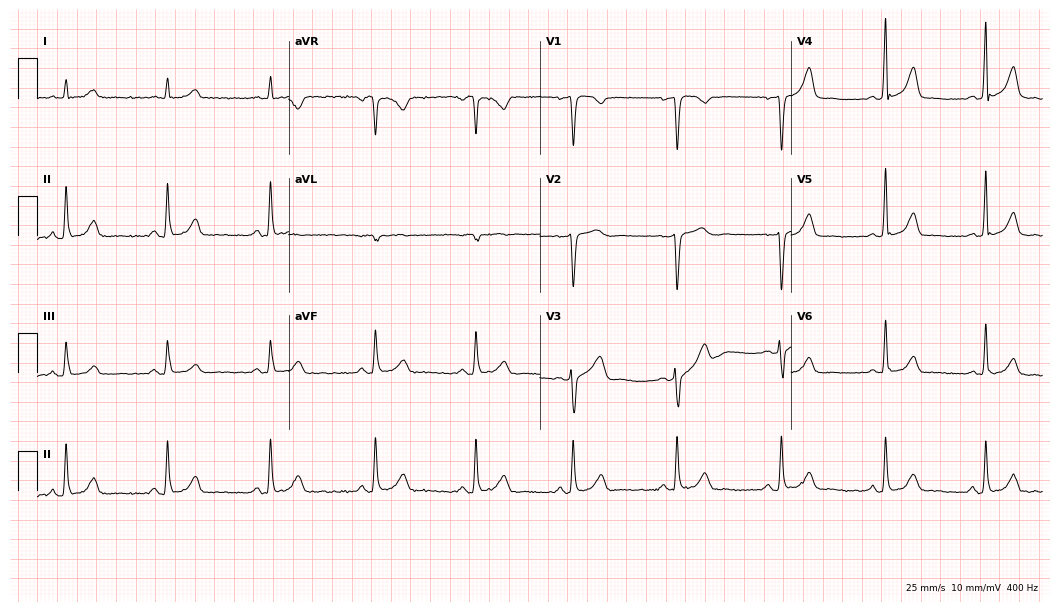
Electrocardiogram (10.2-second recording at 400 Hz), a 48-year-old male. Overall reading on record: normal ECG.